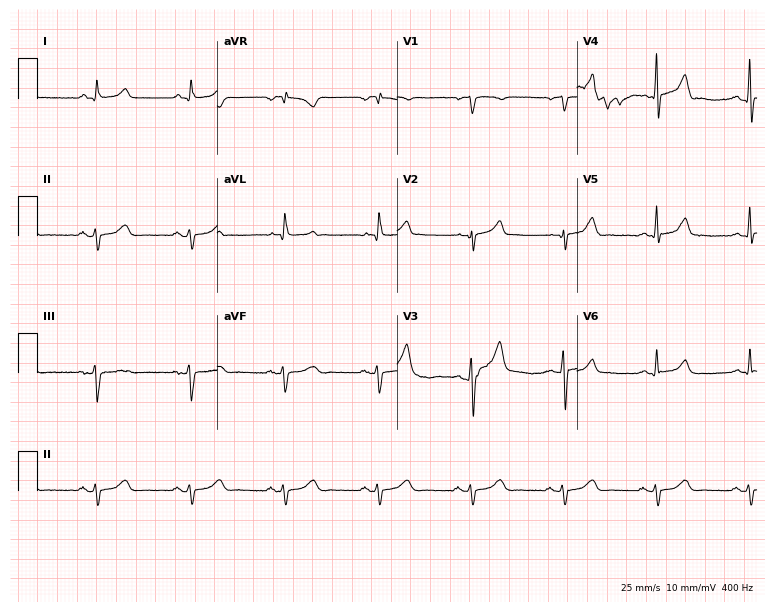
12-lead ECG from a 62-year-old male (7.3-second recording at 400 Hz). No first-degree AV block, right bundle branch block, left bundle branch block, sinus bradycardia, atrial fibrillation or sinus tachycardia recorded for this tracing. Only these six findings were labelled.